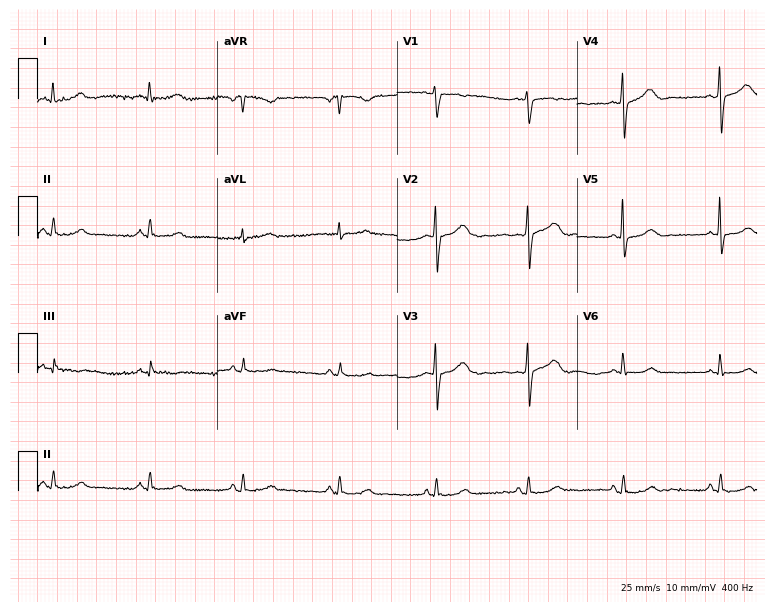
12-lead ECG from a female patient, 49 years old. No first-degree AV block, right bundle branch block (RBBB), left bundle branch block (LBBB), sinus bradycardia, atrial fibrillation (AF) or sinus tachycardia recorded for this tracing.